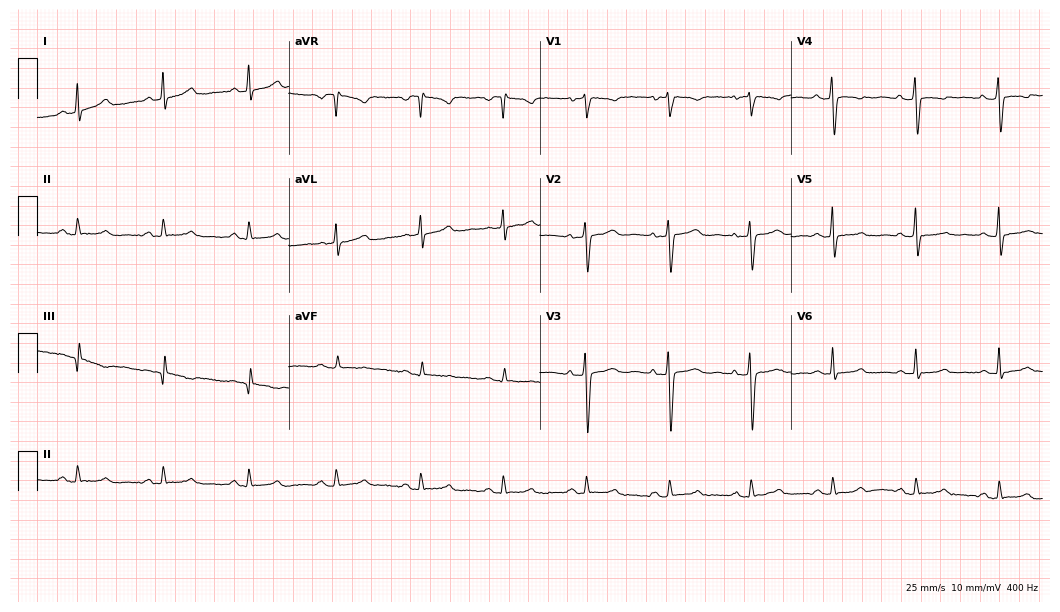
Standard 12-lead ECG recorded from a woman, 38 years old (10.2-second recording at 400 Hz). Read as a normal ECG.